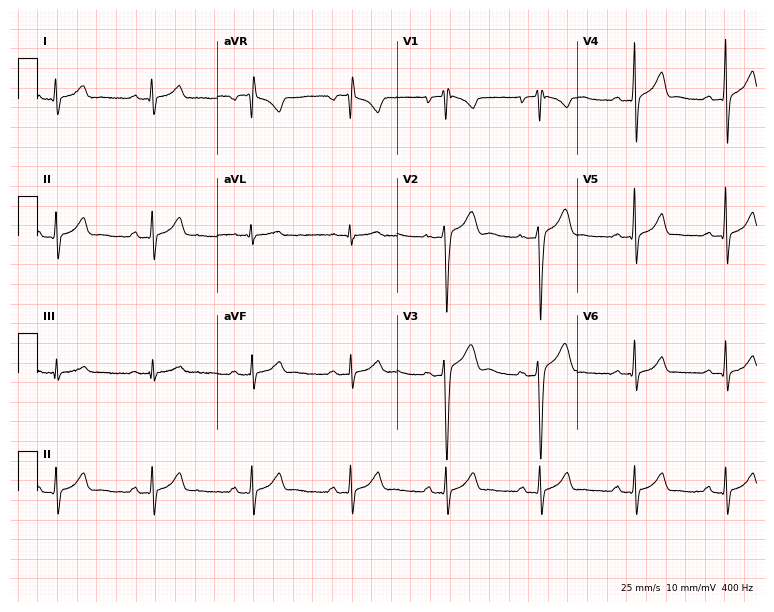
12-lead ECG from an 18-year-old male. Labelled as a normal ECG.